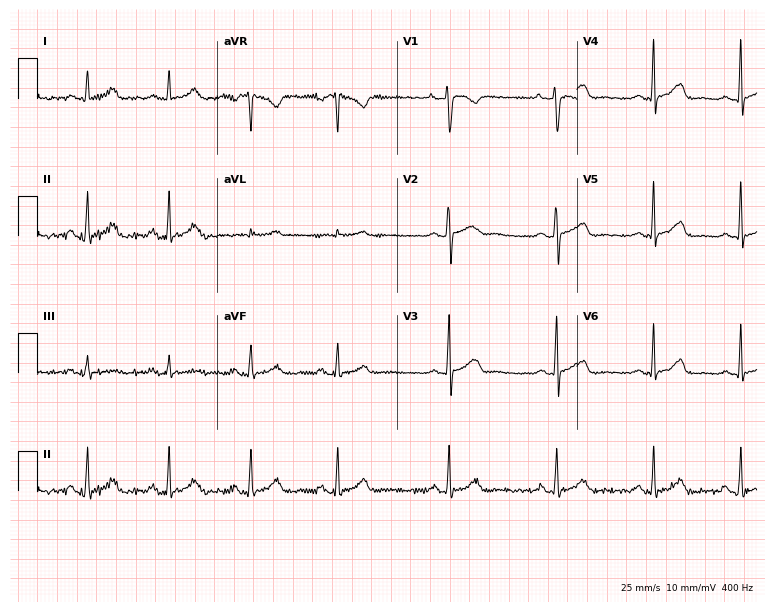
12-lead ECG from a woman, 26 years old. Screened for six findings — first-degree AV block, right bundle branch block (RBBB), left bundle branch block (LBBB), sinus bradycardia, atrial fibrillation (AF), sinus tachycardia — none is recorded.